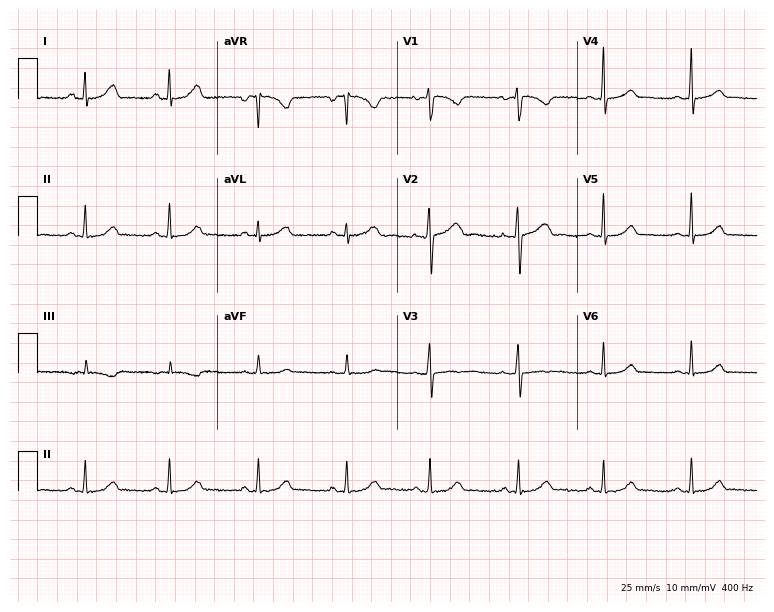
12-lead ECG (7.3-second recording at 400 Hz) from a female, 24 years old. Labelled as a normal ECG.